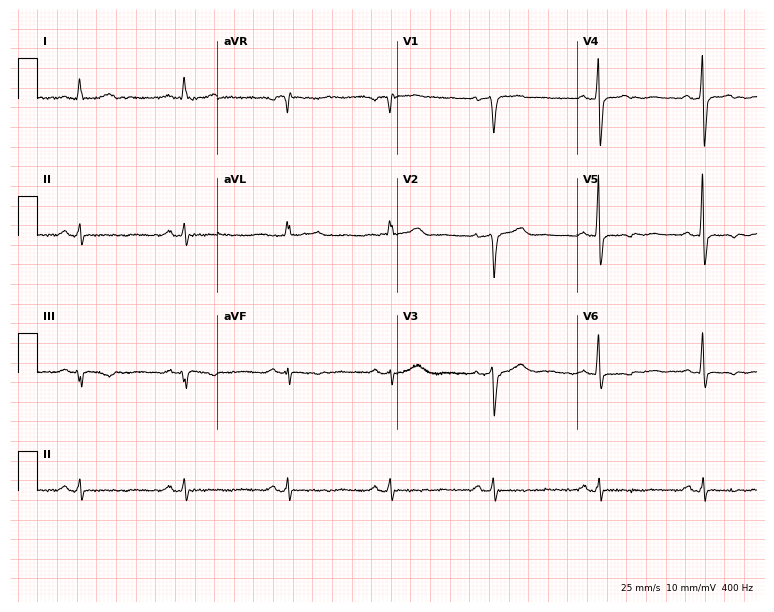
Standard 12-lead ECG recorded from a 66-year-old female. None of these six findings is recorded: first-degree AV block, right bundle branch block, left bundle branch block, sinus bradycardia, atrial fibrillation, sinus tachycardia. Only these six findings were labelled.